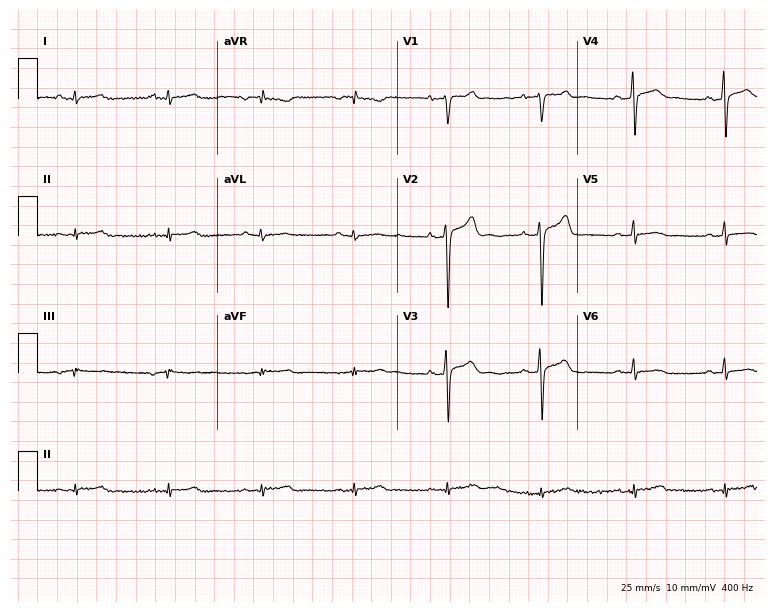
Resting 12-lead electrocardiogram (7.3-second recording at 400 Hz). Patient: a 45-year-old man. None of these six findings is recorded: first-degree AV block, right bundle branch block, left bundle branch block, sinus bradycardia, atrial fibrillation, sinus tachycardia.